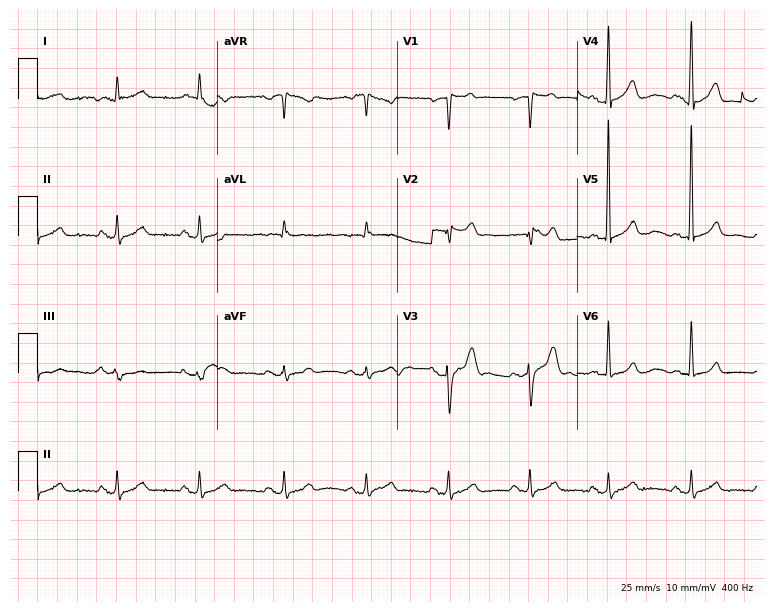
Standard 12-lead ECG recorded from a 59-year-old man (7.3-second recording at 400 Hz). None of these six findings is recorded: first-degree AV block, right bundle branch block (RBBB), left bundle branch block (LBBB), sinus bradycardia, atrial fibrillation (AF), sinus tachycardia. Findings outside these six are not listed.